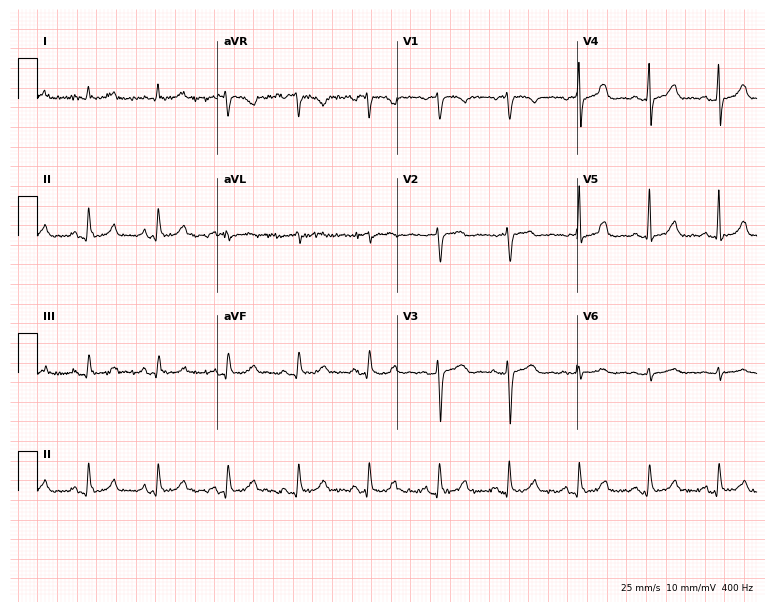
Resting 12-lead electrocardiogram (7.3-second recording at 400 Hz). Patient: a woman, 82 years old. Read as a normal ECG.